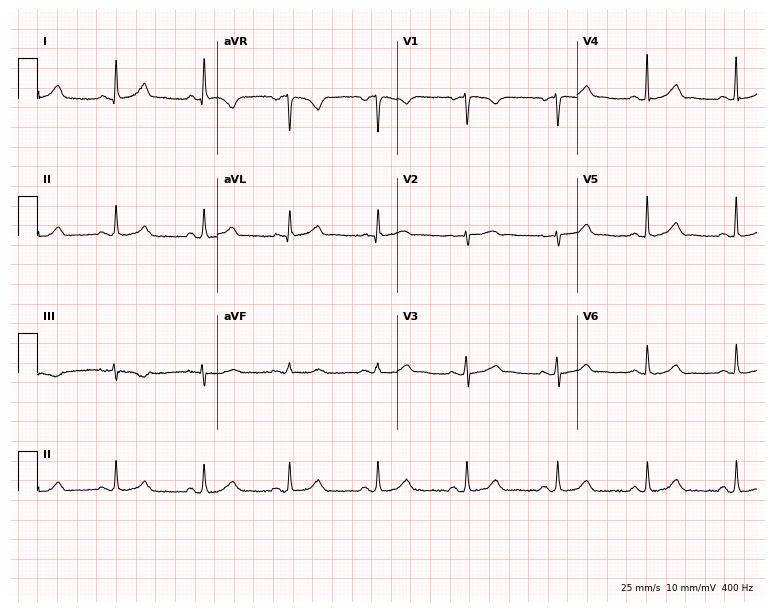
12-lead ECG from a female, 48 years old (7.3-second recording at 400 Hz). Recorded interpretation: within normal limits.